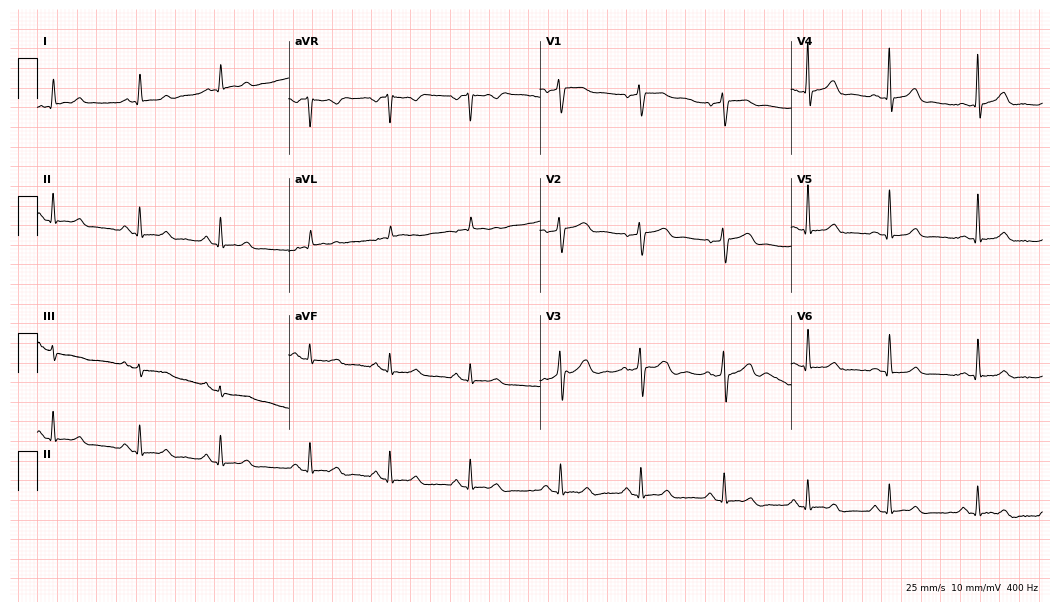
ECG (10.2-second recording at 400 Hz) — an 85-year-old male. Labelled as a normal ECG.